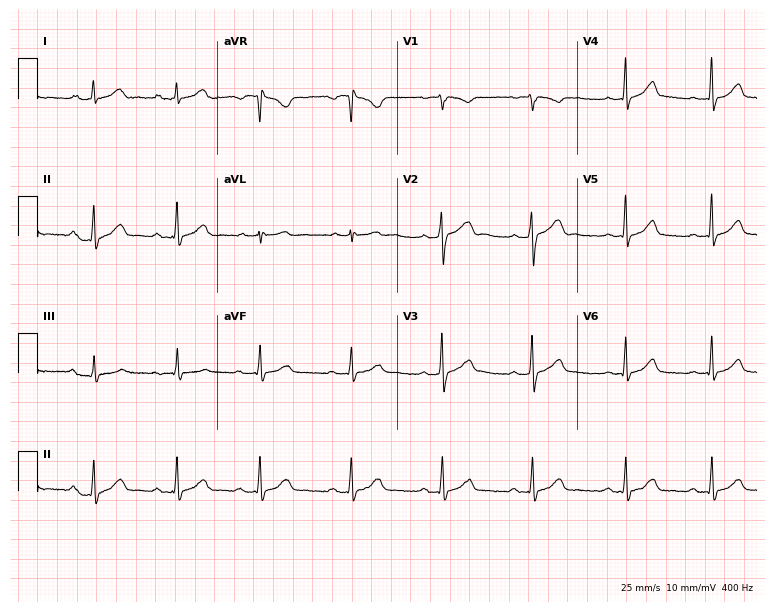
Resting 12-lead electrocardiogram (7.3-second recording at 400 Hz). Patient: a female, 24 years old. None of these six findings is recorded: first-degree AV block, right bundle branch block, left bundle branch block, sinus bradycardia, atrial fibrillation, sinus tachycardia.